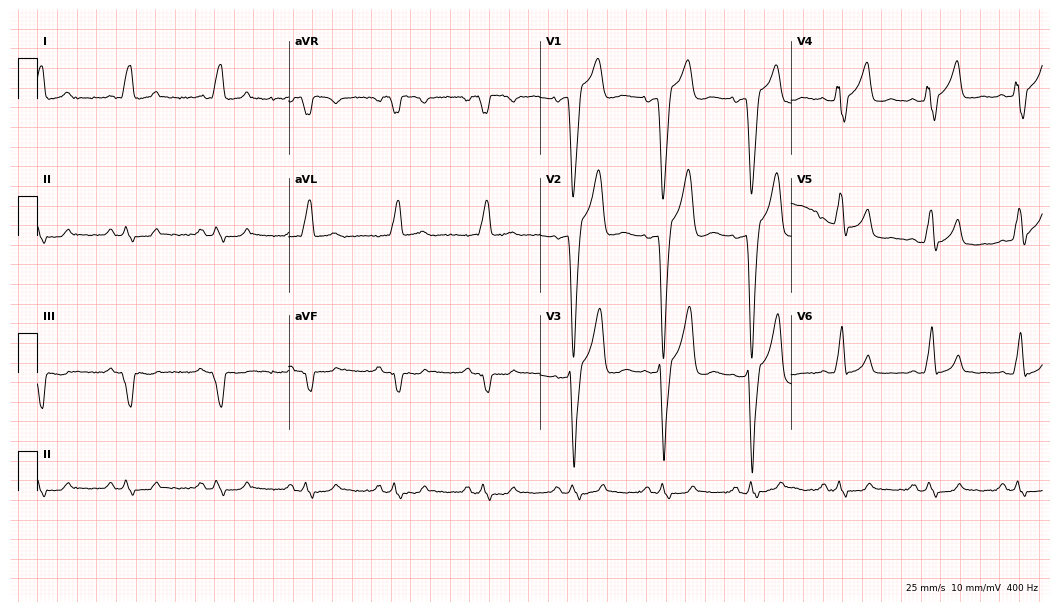
12-lead ECG (10.2-second recording at 400 Hz) from a male patient, 83 years old. Findings include left bundle branch block.